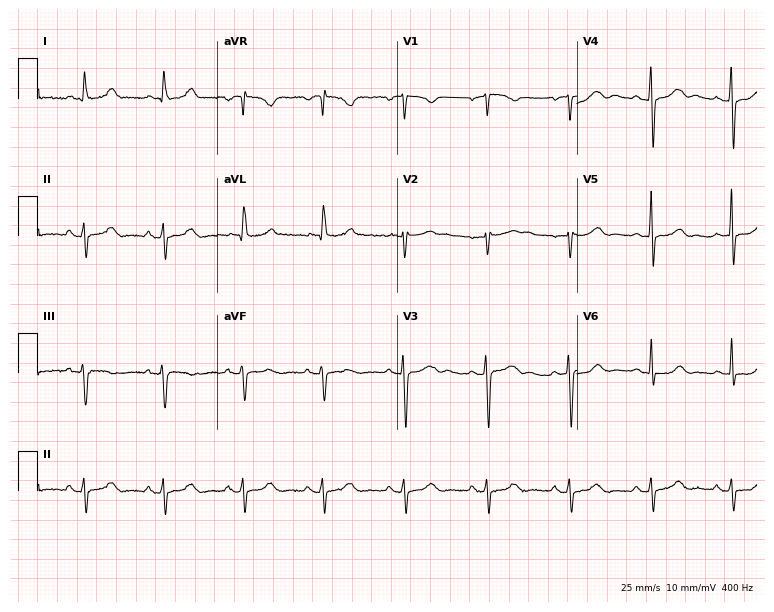
ECG — a male, 49 years old. Screened for six findings — first-degree AV block, right bundle branch block, left bundle branch block, sinus bradycardia, atrial fibrillation, sinus tachycardia — none is recorded. Findings outside these six are not listed.